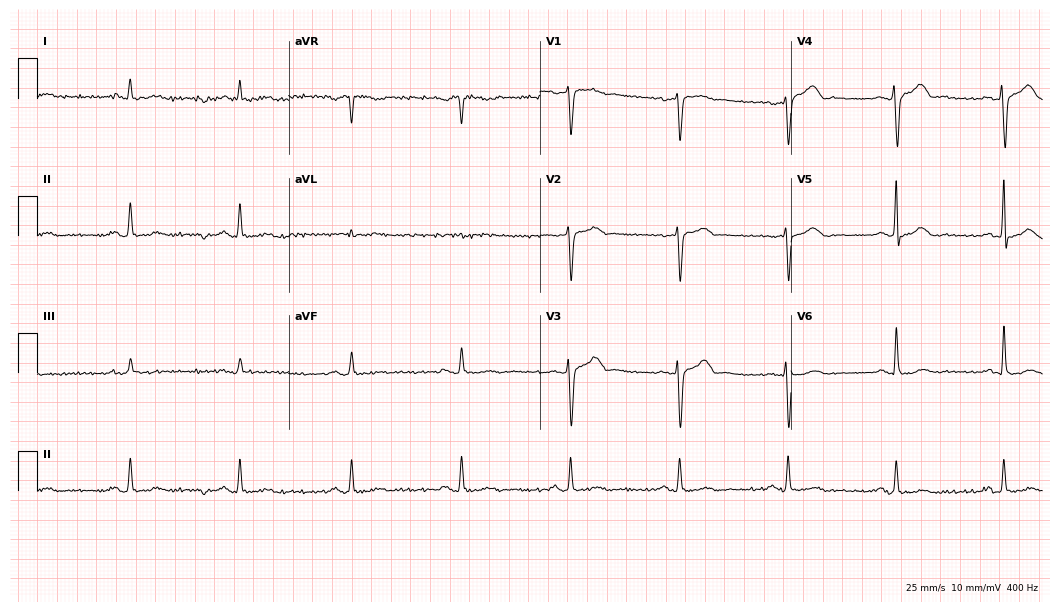
Standard 12-lead ECG recorded from a male patient, 68 years old. Read as a normal ECG.